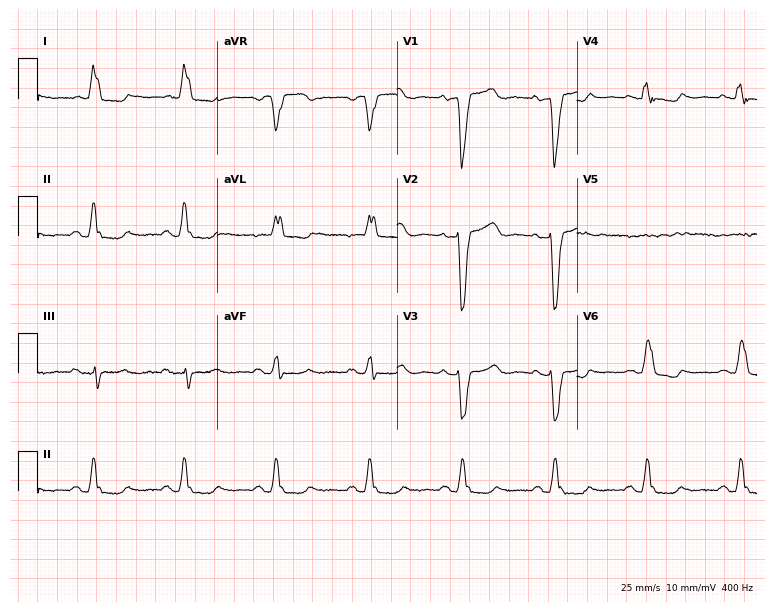
ECG (7.3-second recording at 400 Hz) — a woman, 71 years old. Findings include left bundle branch block (LBBB).